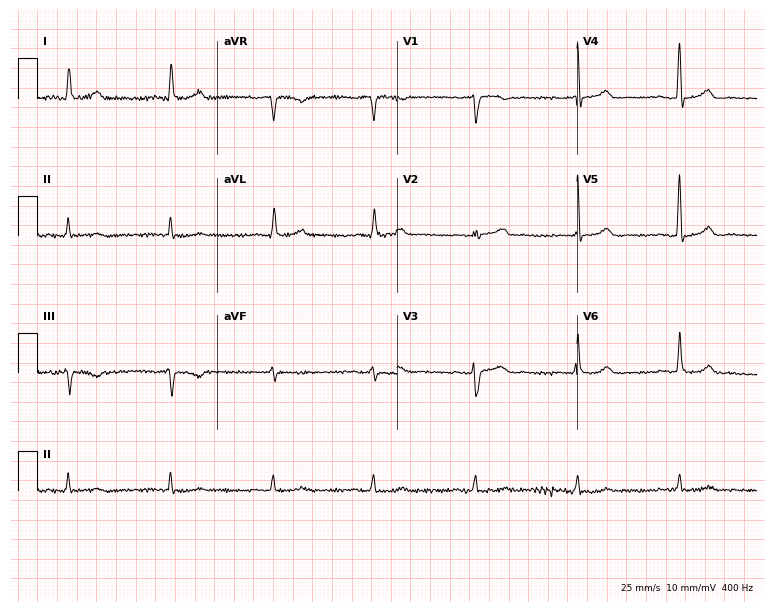
12-lead ECG from a 79-year-old female (7.3-second recording at 400 Hz). Recorded interpretation: within normal limits.